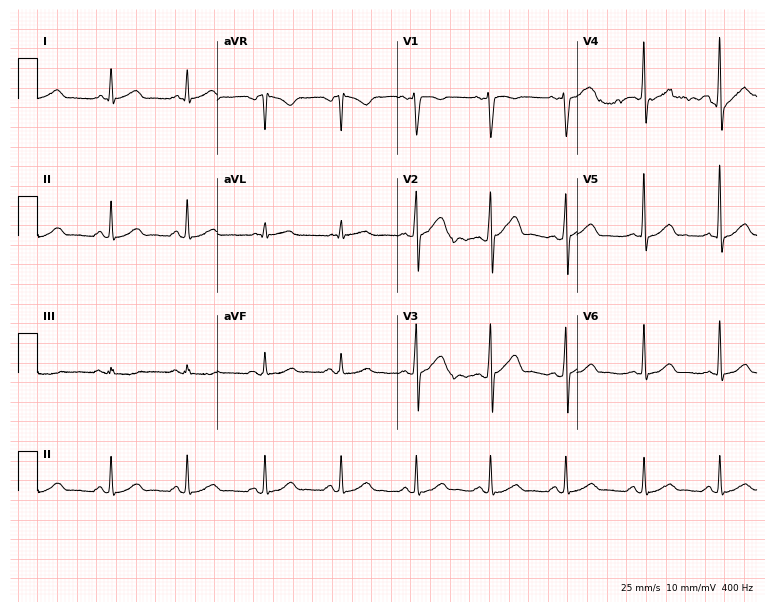
Resting 12-lead electrocardiogram. Patient: a 42-year-old male. Read as a normal ECG.